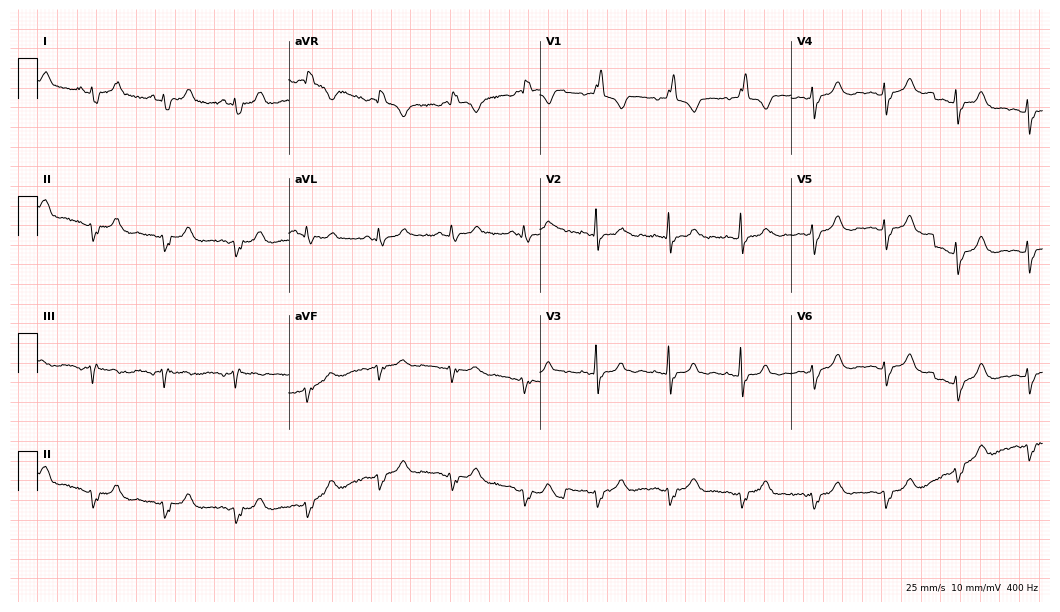
12-lead ECG from a 74-year-old female. Findings include right bundle branch block.